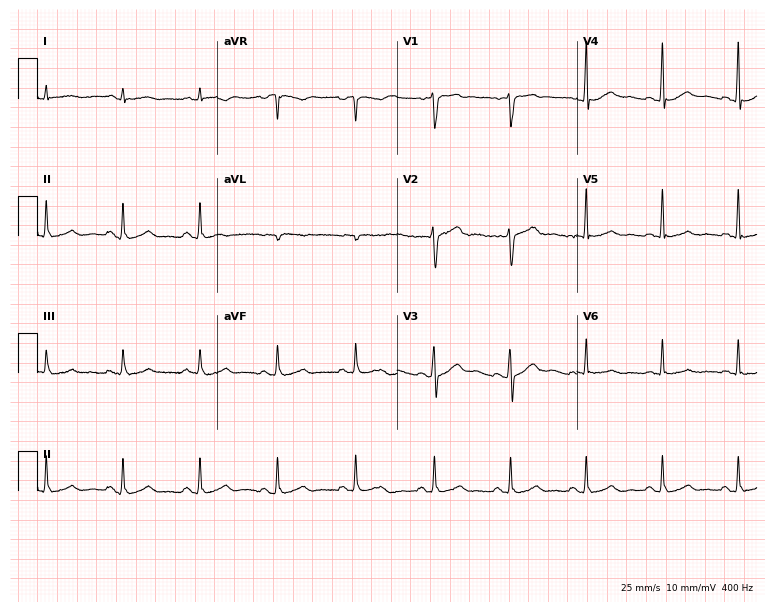
Standard 12-lead ECG recorded from a male patient, 51 years old (7.3-second recording at 400 Hz). Read as a normal ECG.